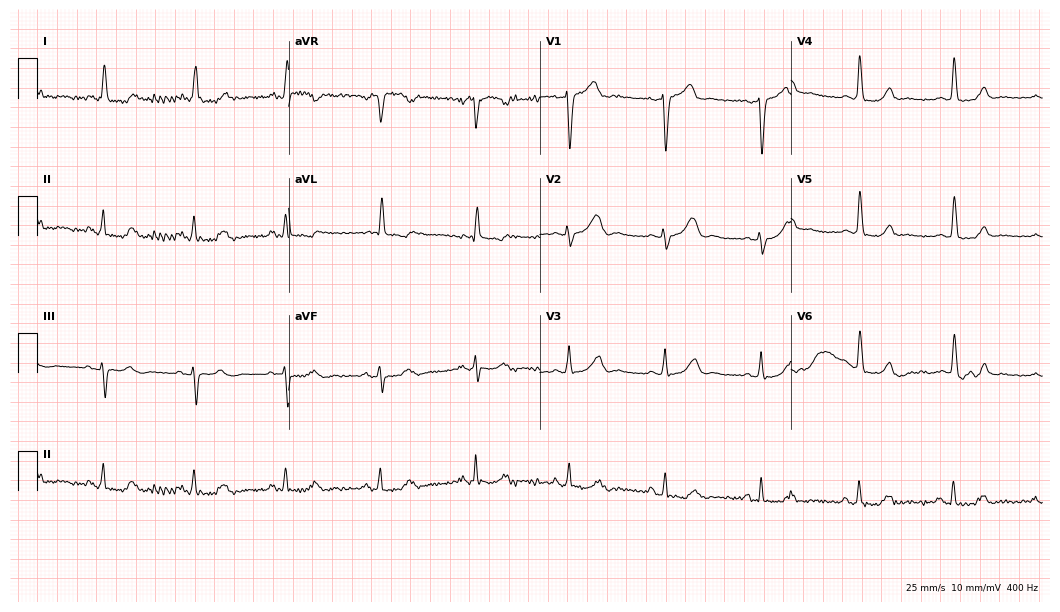
Standard 12-lead ECG recorded from an 80-year-old female patient (10.2-second recording at 400 Hz). Read as a normal ECG.